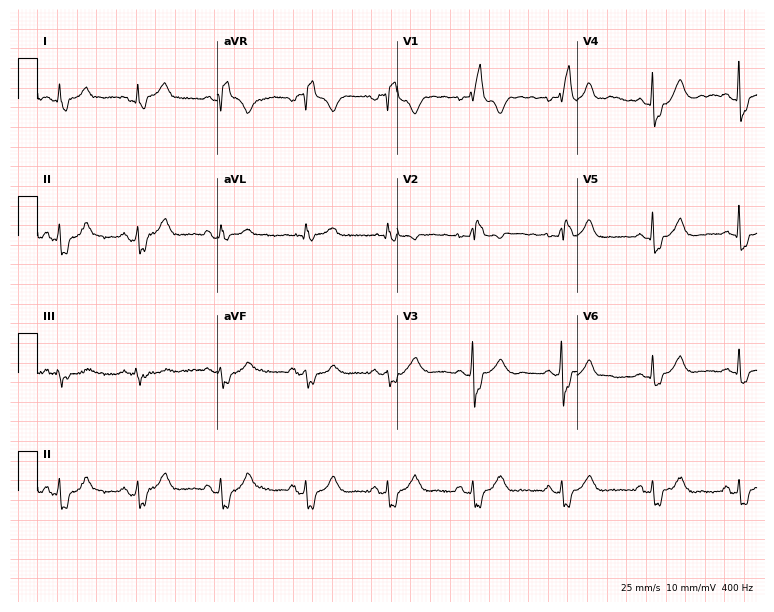
Standard 12-lead ECG recorded from a 56-year-old female (7.3-second recording at 400 Hz). The tracing shows right bundle branch block.